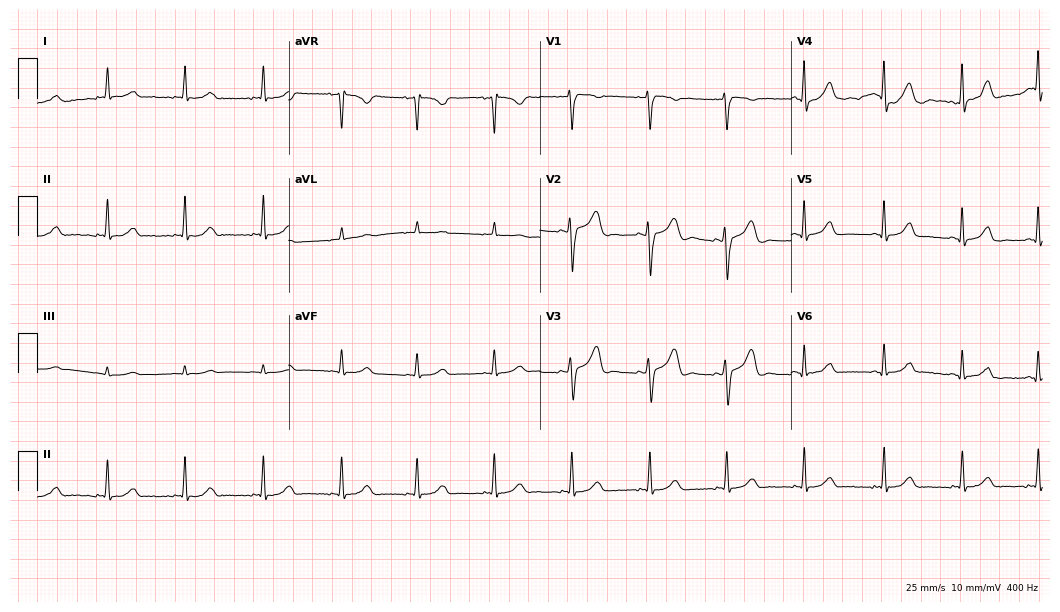
12-lead ECG from a female, 35 years old. Recorded interpretation: within normal limits.